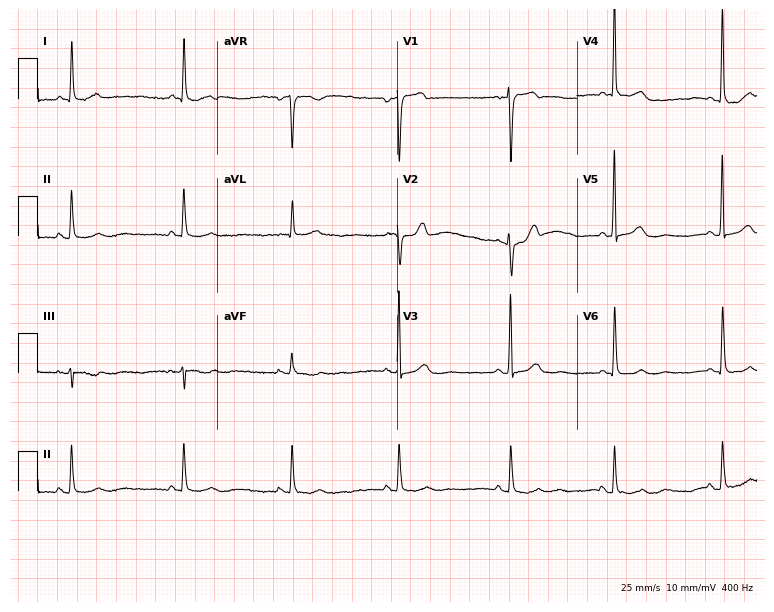
12-lead ECG (7.3-second recording at 400 Hz) from a woman, 56 years old. Screened for six findings — first-degree AV block, right bundle branch block, left bundle branch block, sinus bradycardia, atrial fibrillation, sinus tachycardia — none is recorded. Other findings, if any, are not listed.